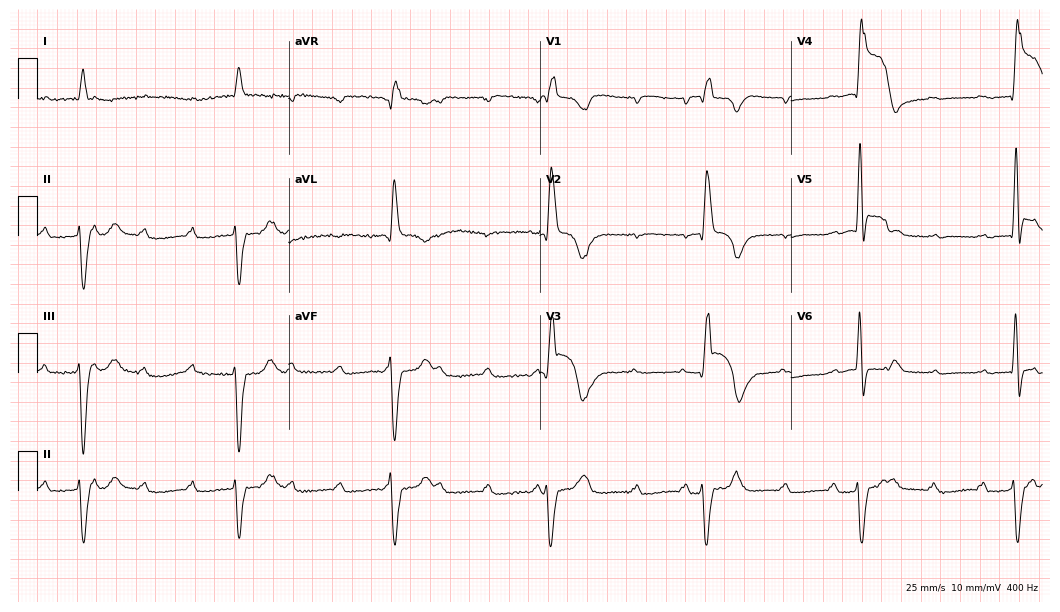
Resting 12-lead electrocardiogram (10.2-second recording at 400 Hz). Patient: an 85-year-old male. The tracing shows right bundle branch block.